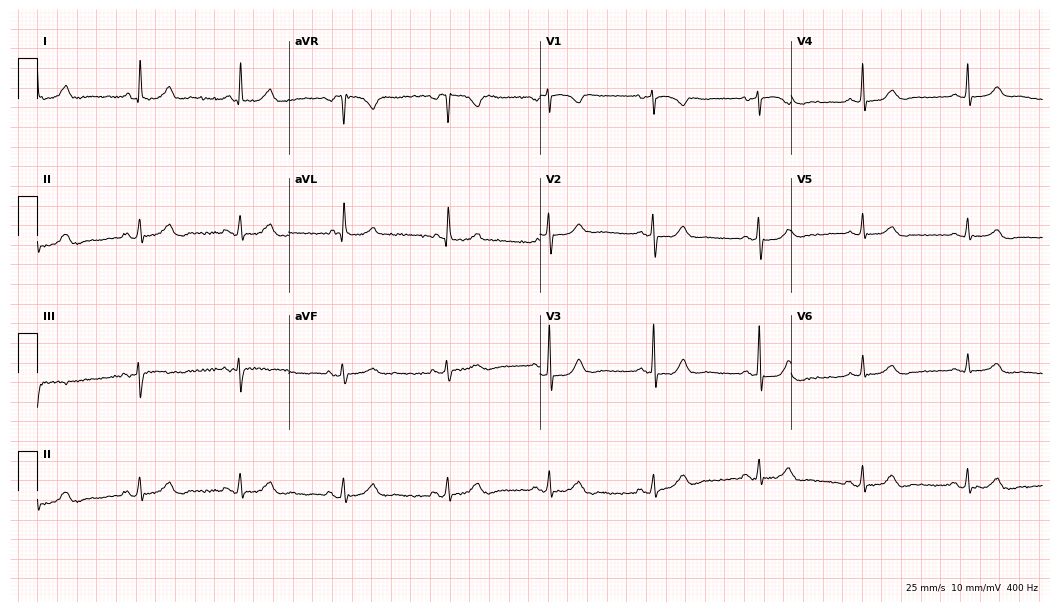
12-lead ECG from a 74-year-old female patient (10.2-second recording at 400 Hz). No first-degree AV block, right bundle branch block (RBBB), left bundle branch block (LBBB), sinus bradycardia, atrial fibrillation (AF) or sinus tachycardia recorded for this tracing. Only these six findings were labelled.